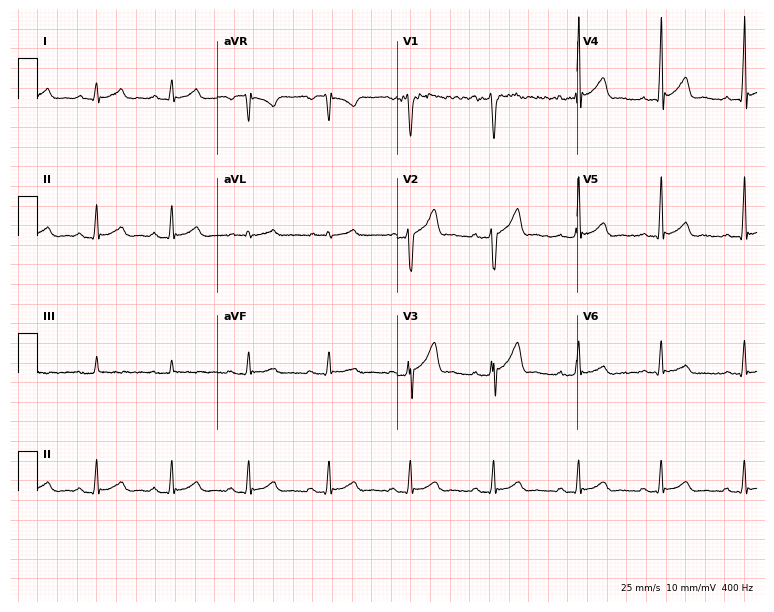
12-lead ECG (7.3-second recording at 400 Hz) from a 23-year-old male patient. Labelled as a normal ECG.